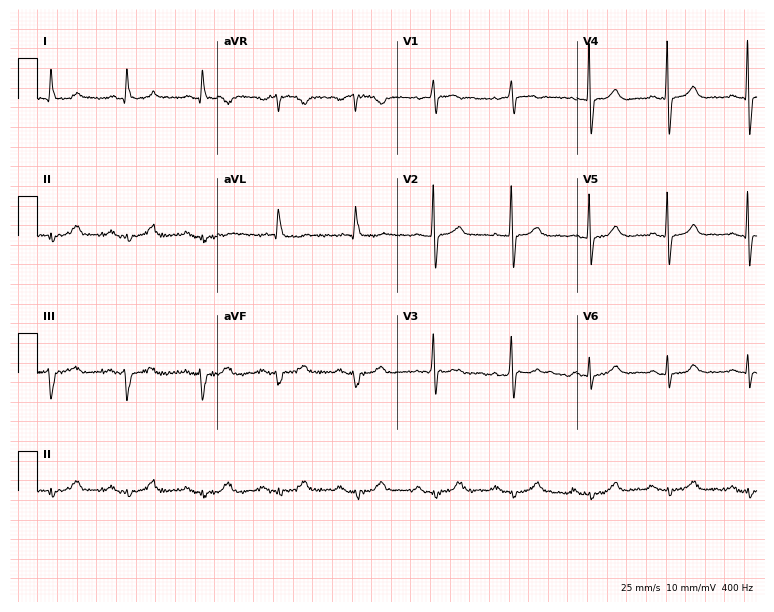
Resting 12-lead electrocardiogram (7.3-second recording at 400 Hz). Patient: an 88-year-old woman. None of these six findings is recorded: first-degree AV block, right bundle branch block, left bundle branch block, sinus bradycardia, atrial fibrillation, sinus tachycardia. Only these six findings were labelled.